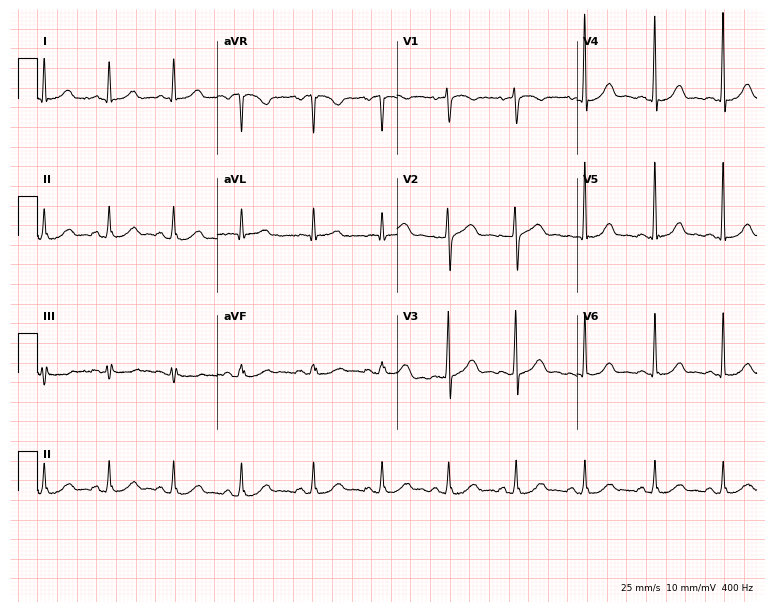
12-lead ECG from a 55-year-old female patient. Recorded interpretation: within normal limits.